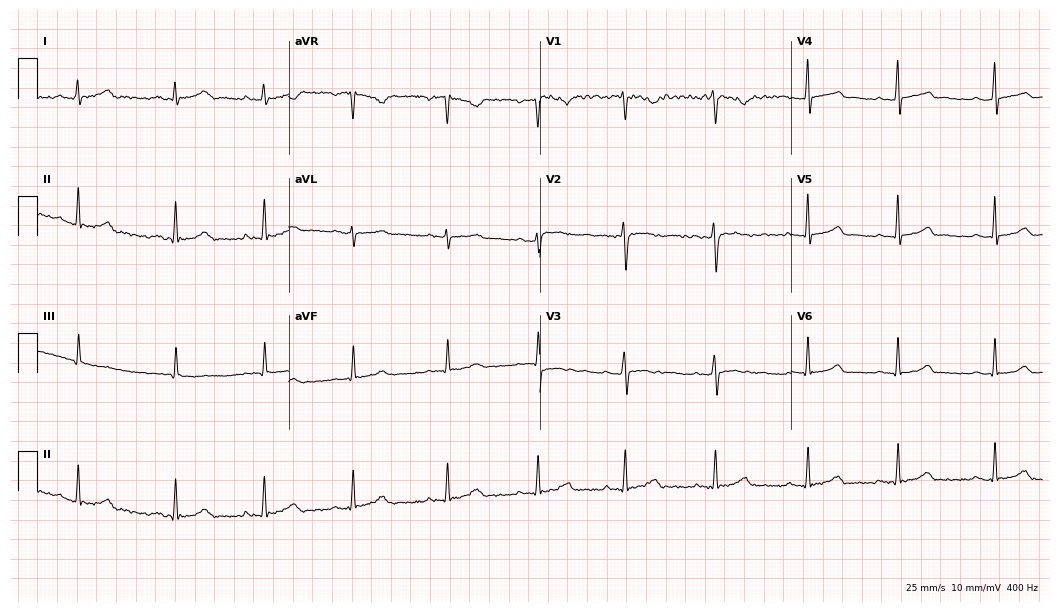
Electrocardiogram, a 24-year-old woman. Overall reading on record: normal ECG.